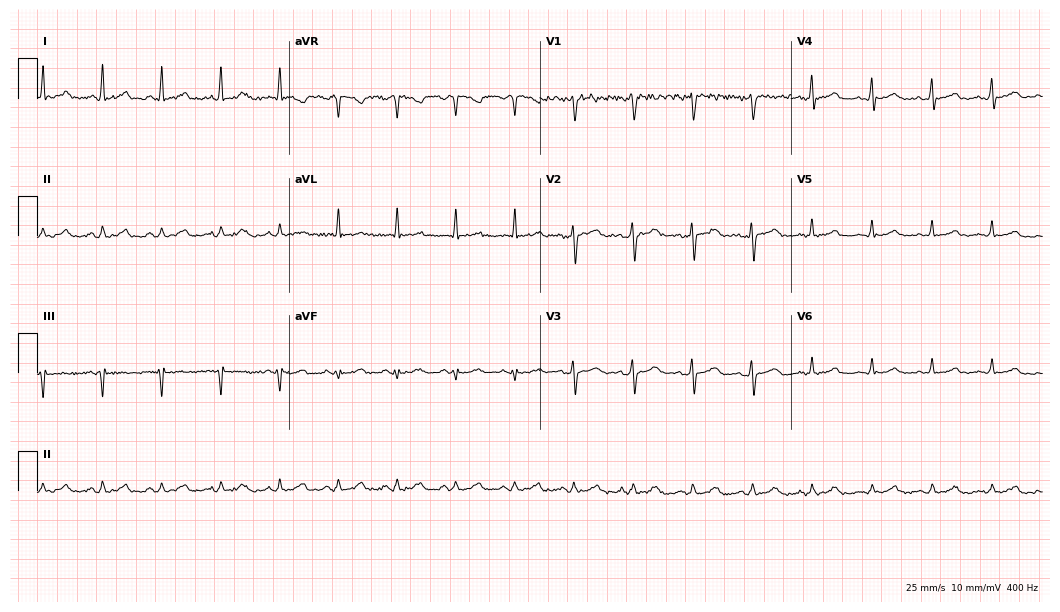
Standard 12-lead ECG recorded from a male, 46 years old. None of these six findings is recorded: first-degree AV block, right bundle branch block, left bundle branch block, sinus bradycardia, atrial fibrillation, sinus tachycardia.